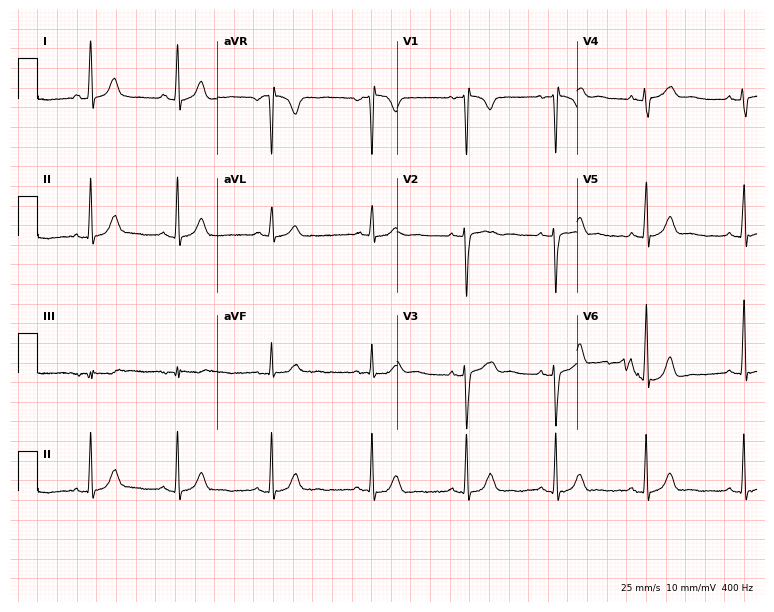
12-lead ECG (7.3-second recording at 400 Hz) from a 21-year-old female patient. Screened for six findings — first-degree AV block, right bundle branch block, left bundle branch block, sinus bradycardia, atrial fibrillation, sinus tachycardia — none is recorded.